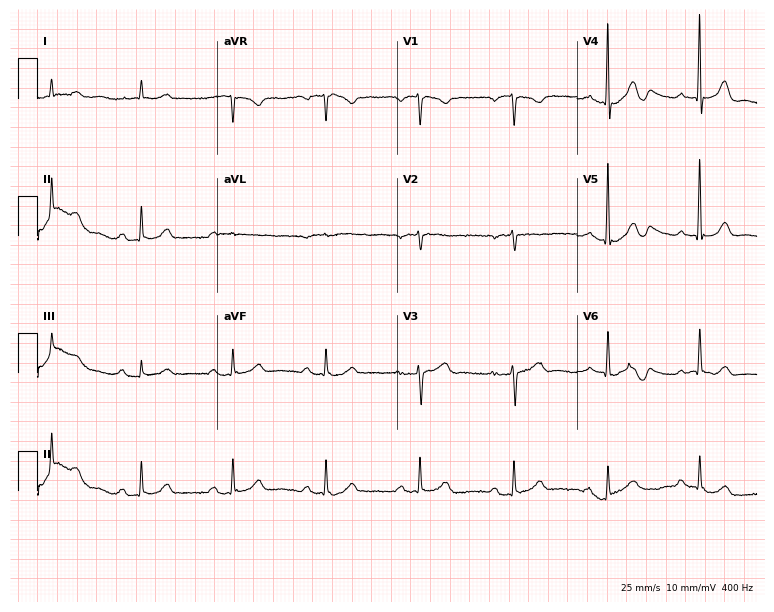
12-lead ECG from an 83-year-old male. No first-degree AV block, right bundle branch block, left bundle branch block, sinus bradycardia, atrial fibrillation or sinus tachycardia recorded for this tracing. Findings outside these six are not listed.